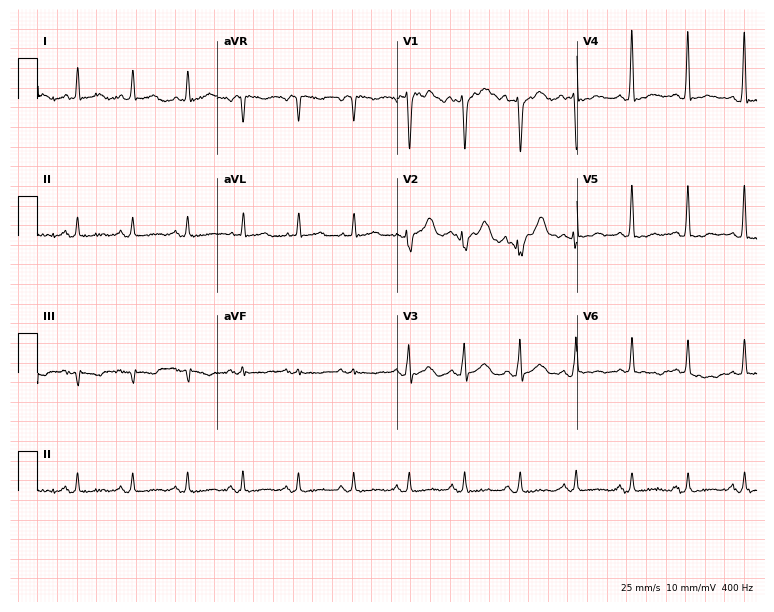
Electrocardiogram, a 50-year-old man. Interpretation includes sinus tachycardia (a sinus rate of 100 beats per minute or more).